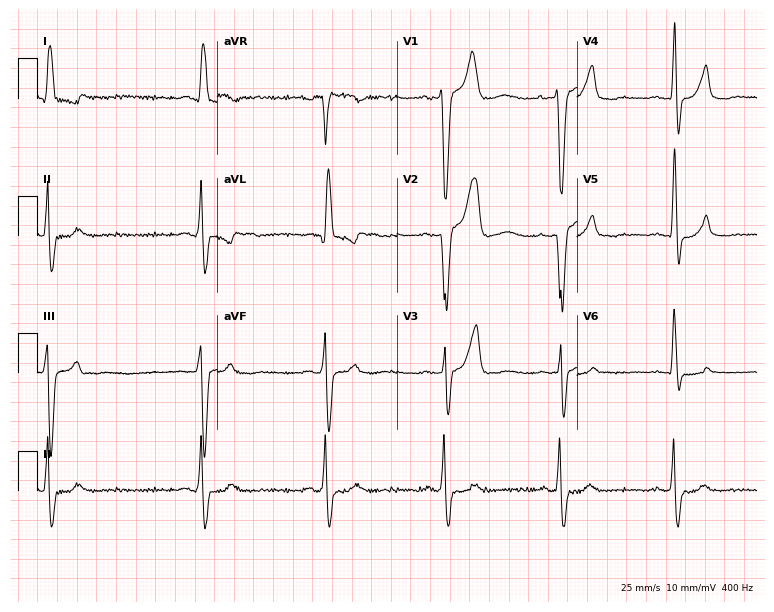
Resting 12-lead electrocardiogram (7.3-second recording at 400 Hz). Patient: a man, 85 years old. The tracing shows right bundle branch block, sinus bradycardia (a sinus rate of 50 beats per minute or less).